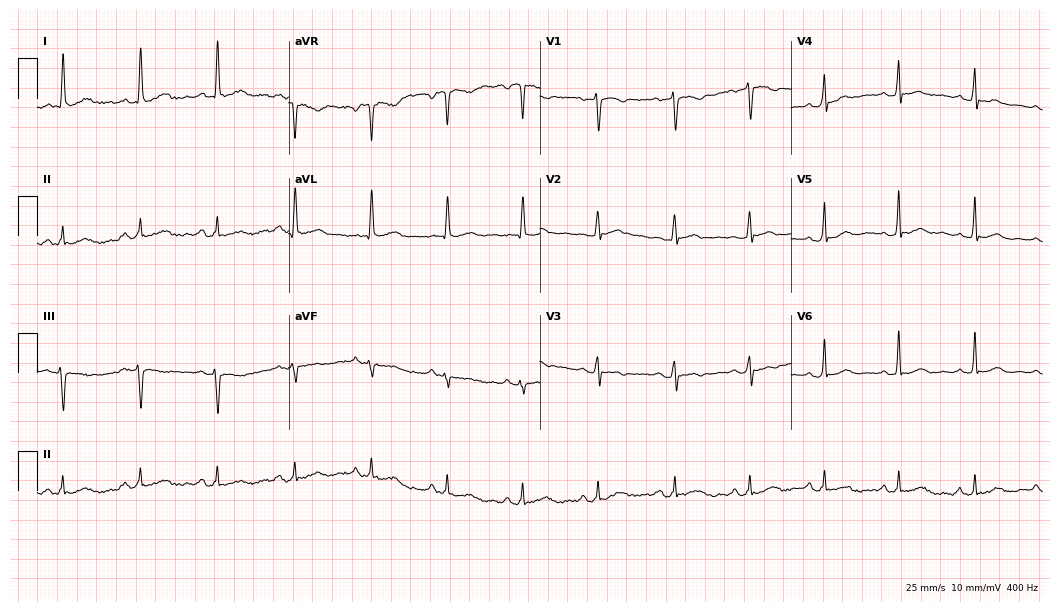
ECG — a 61-year-old woman. Screened for six findings — first-degree AV block, right bundle branch block, left bundle branch block, sinus bradycardia, atrial fibrillation, sinus tachycardia — none is recorded. Only these six findings were labelled.